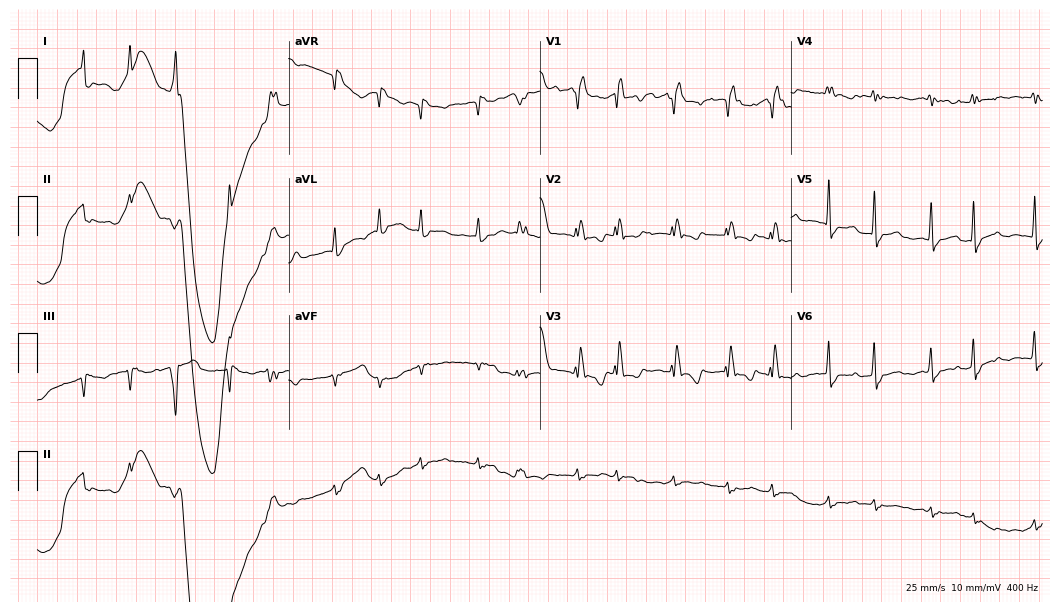
12-lead ECG from a man, 74 years old. Shows right bundle branch block, atrial fibrillation.